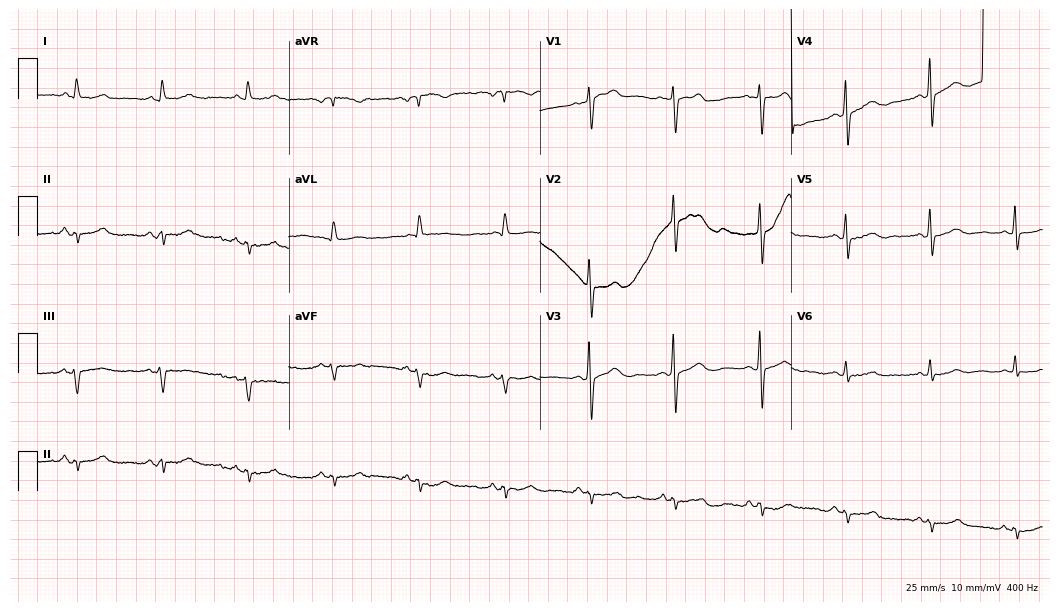
Electrocardiogram, a 72-year-old male patient. Of the six screened findings (first-degree AV block, right bundle branch block, left bundle branch block, sinus bradycardia, atrial fibrillation, sinus tachycardia), none is recorded.